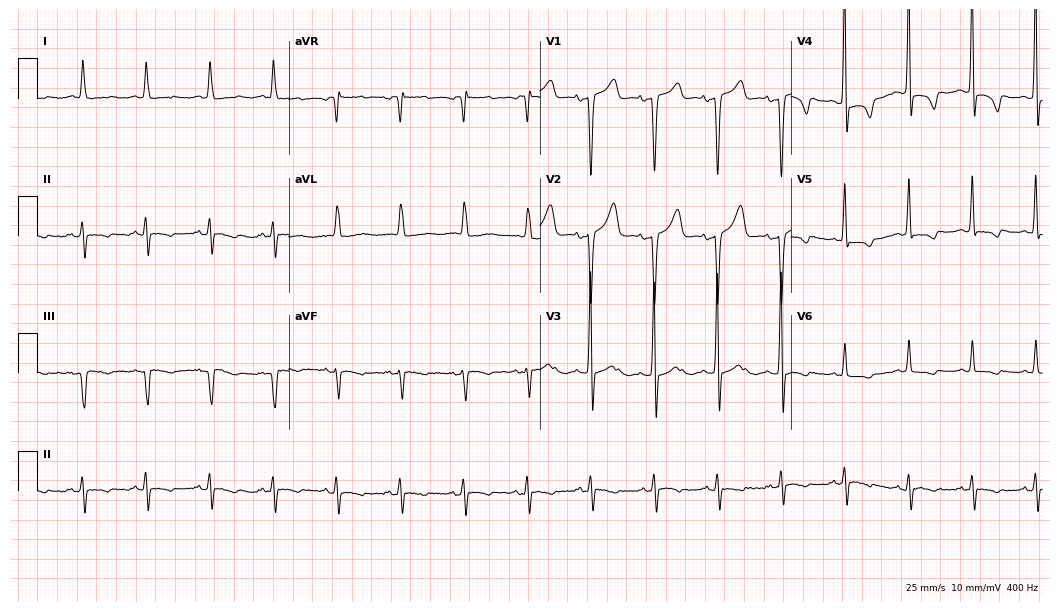
ECG — a 74-year-old female. Screened for six findings — first-degree AV block, right bundle branch block, left bundle branch block, sinus bradycardia, atrial fibrillation, sinus tachycardia — none is recorded. Other findings, if any, are not listed.